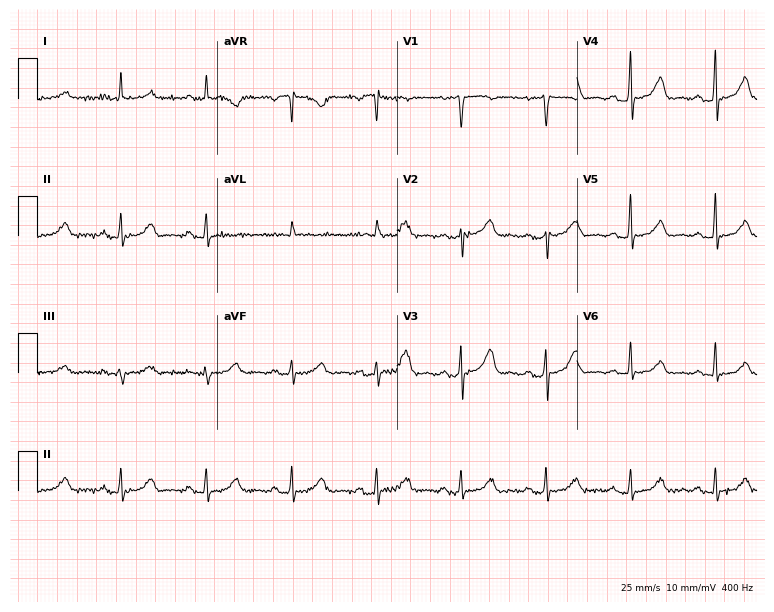
12-lead ECG (7.3-second recording at 400 Hz) from a female patient, 81 years old. Screened for six findings — first-degree AV block, right bundle branch block (RBBB), left bundle branch block (LBBB), sinus bradycardia, atrial fibrillation (AF), sinus tachycardia — none is recorded. Other findings, if any, are not listed.